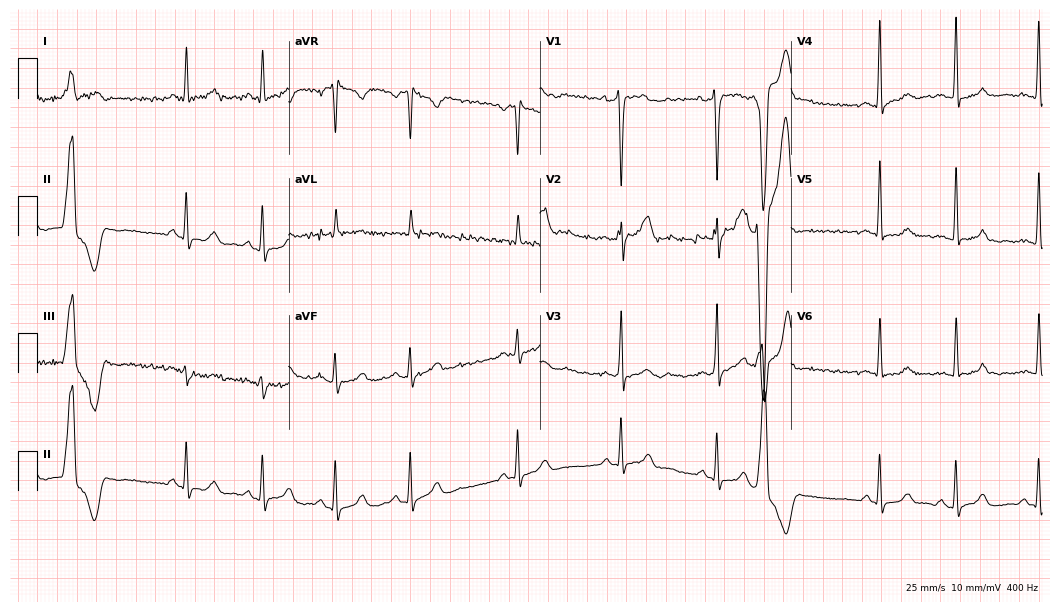
12-lead ECG from a male patient, 34 years old. No first-degree AV block, right bundle branch block, left bundle branch block, sinus bradycardia, atrial fibrillation or sinus tachycardia recorded for this tracing. Other findings, if any, are not listed.